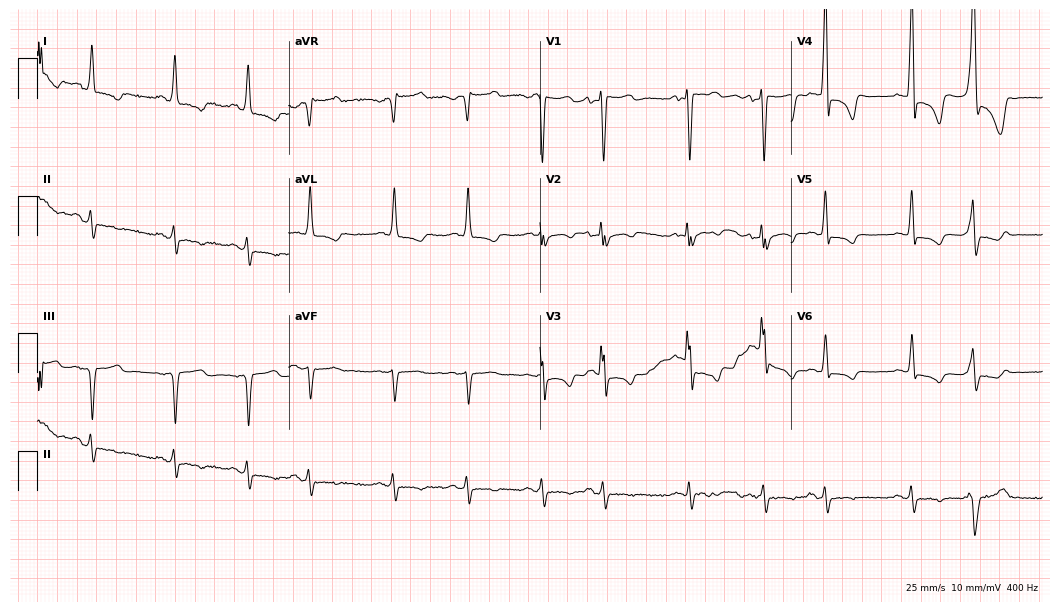
Standard 12-lead ECG recorded from an 84-year-old man (10.2-second recording at 400 Hz). None of these six findings is recorded: first-degree AV block, right bundle branch block, left bundle branch block, sinus bradycardia, atrial fibrillation, sinus tachycardia. Only these six findings were labelled.